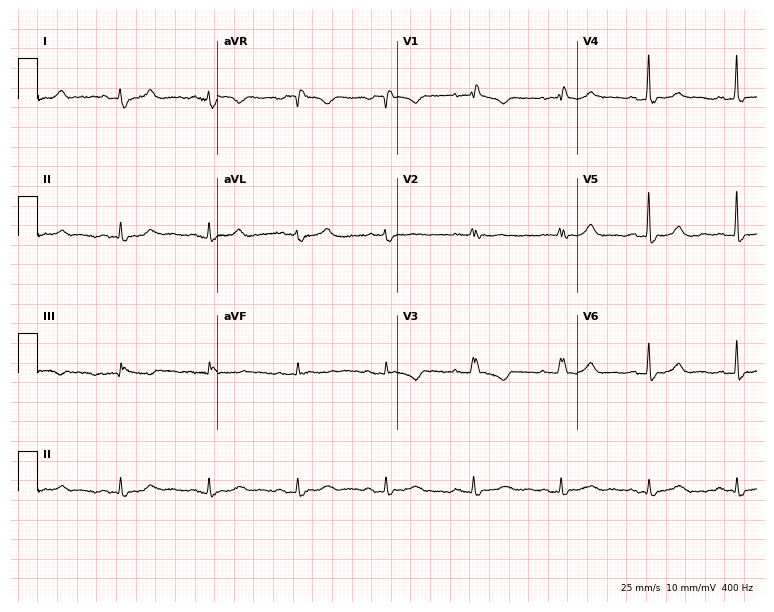
12-lead ECG from a woman, 66 years old (7.3-second recording at 400 Hz). Shows right bundle branch block.